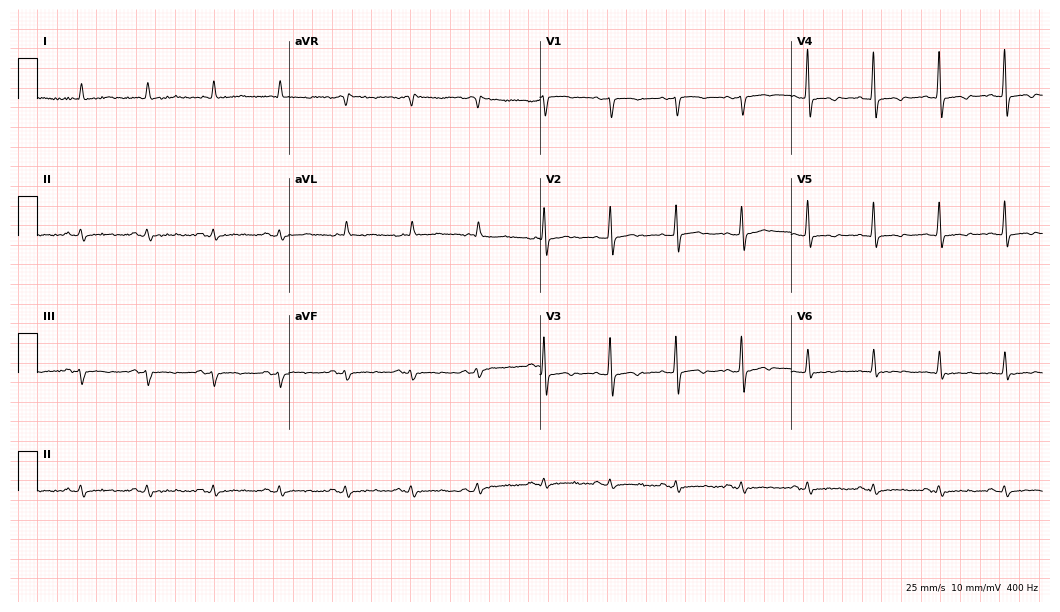
Electrocardiogram (10.2-second recording at 400 Hz), a male, 83 years old. Of the six screened findings (first-degree AV block, right bundle branch block (RBBB), left bundle branch block (LBBB), sinus bradycardia, atrial fibrillation (AF), sinus tachycardia), none is recorded. Other findings, if any, are not listed.